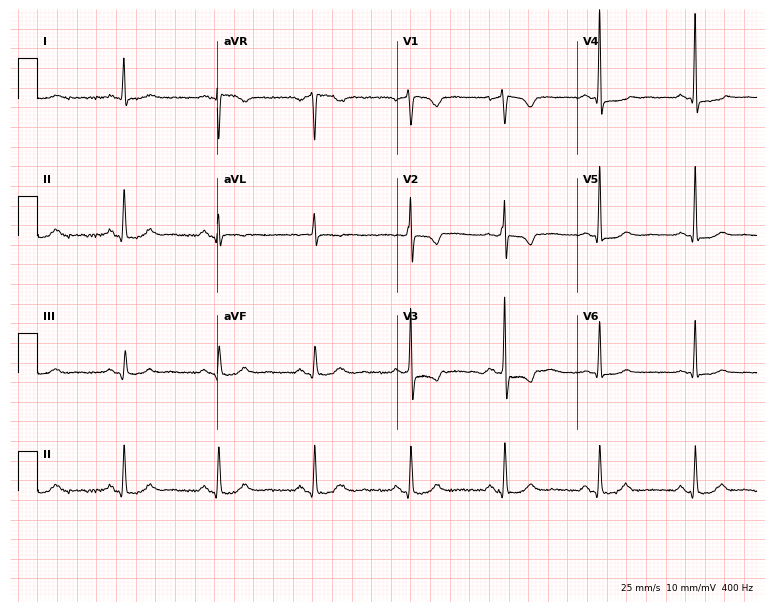
ECG — a 47-year-old male patient. Screened for six findings — first-degree AV block, right bundle branch block, left bundle branch block, sinus bradycardia, atrial fibrillation, sinus tachycardia — none is recorded. Other findings, if any, are not listed.